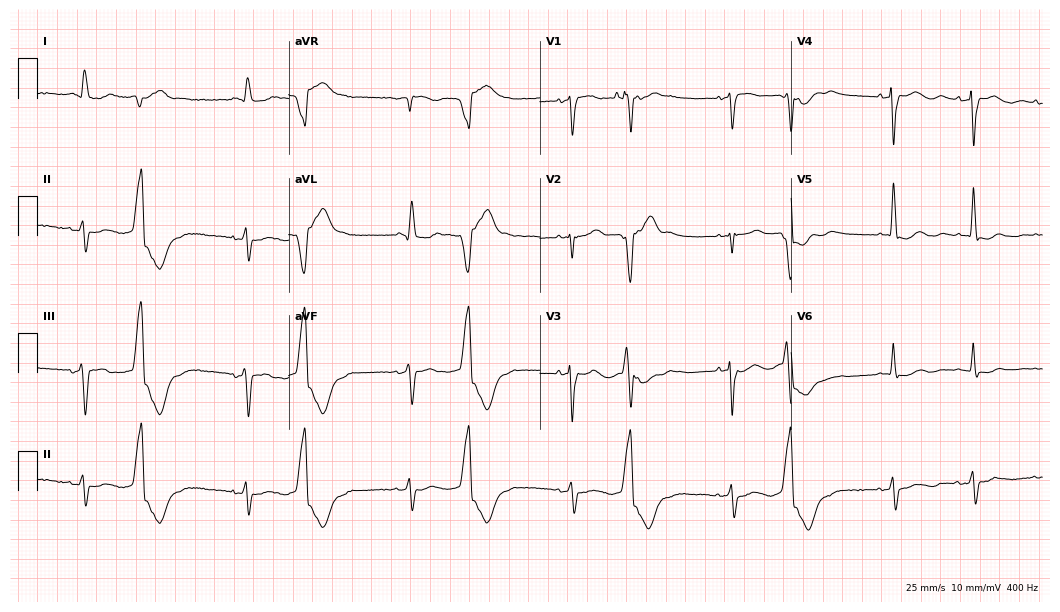
Resting 12-lead electrocardiogram (10.2-second recording at 400 Hz). Patient: an 80-year-old female. None of these six findings is recorded: first-degree AV block, right bundle branch block (RBBB), left bundle branch block (LBBB), sinus bradycardia, atrial fibrillation (AF), sinus tachycardia. Only these six findings were labelled.